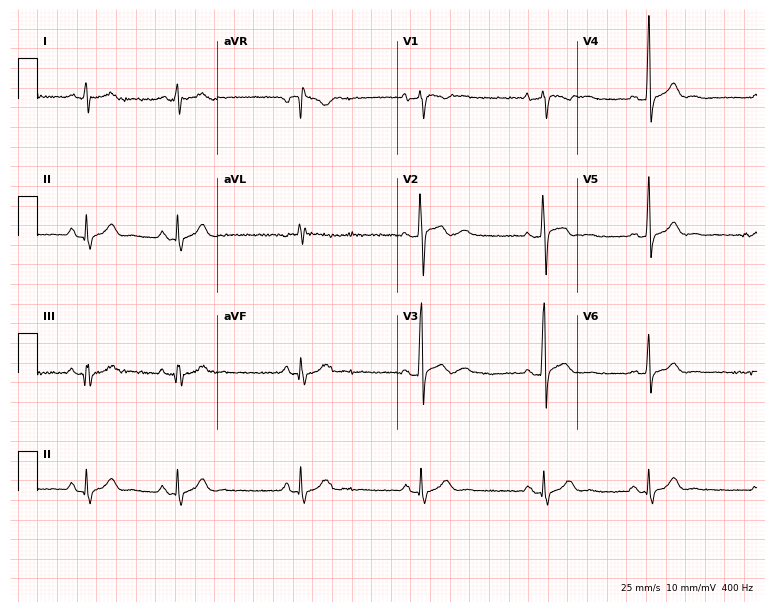
Resting 12-lead electrocardiogram (7.3-second recording at 400 Hz). Patient: a 20-year-old man. None of these six findings is recorded: first-degree AV block, right bundle branch block, left bundle branch block, sinus bradycardia, atrial fibrillation, sinus tachycardia. Other findings, if any, are not listed.